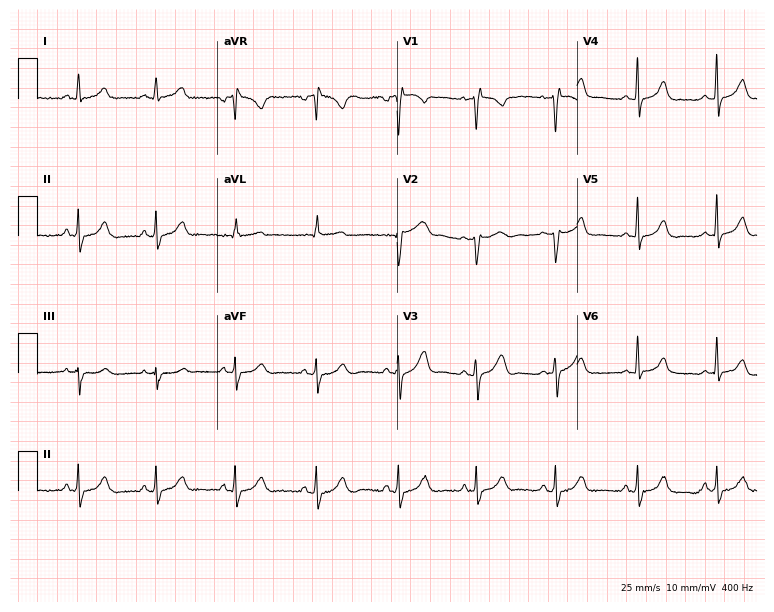
Electrocardiogram, a female, 37 years old. Overall reading on record: normal ECG.